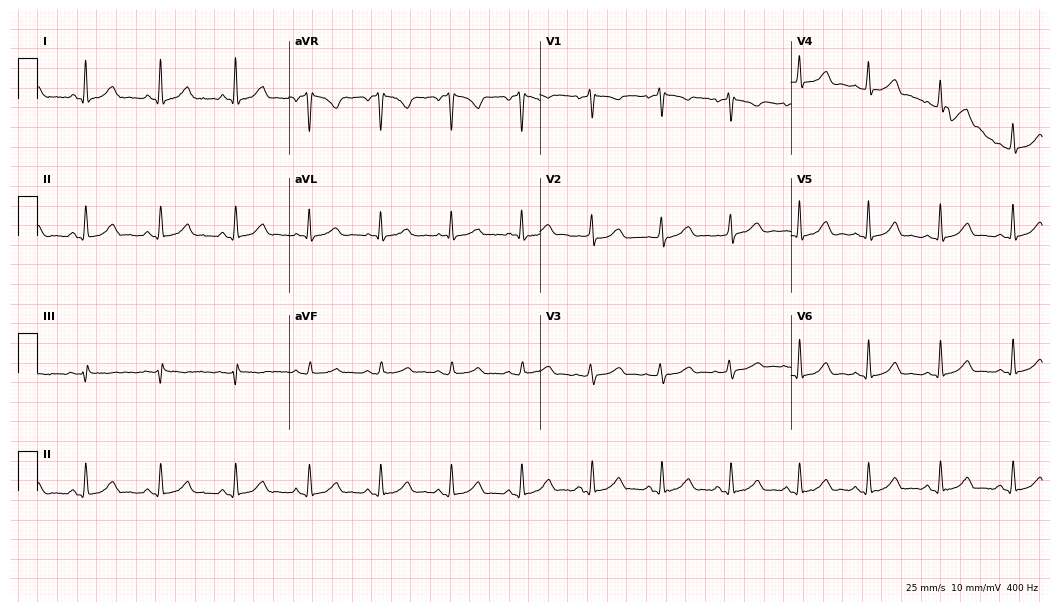
12-lead ECG (10.2-second recording at 400 Hz) from a 42-year-old female. Labelled as a normal ECG.